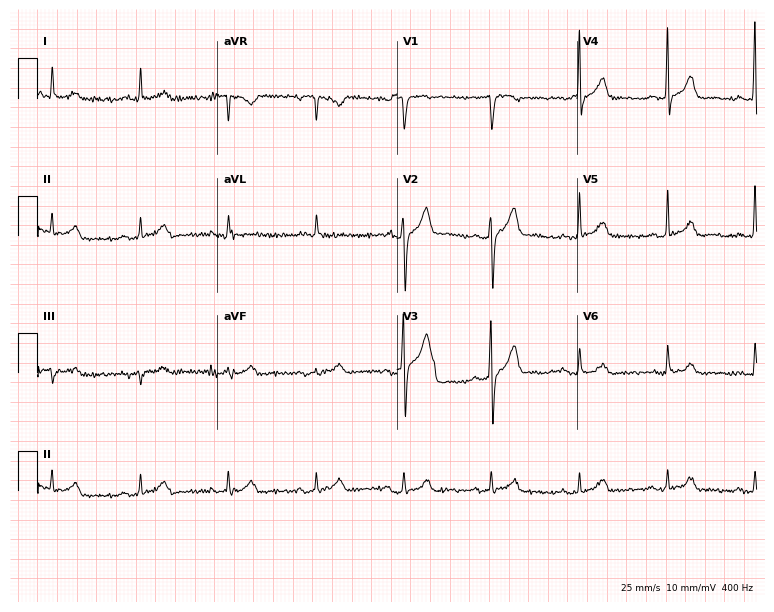
Resting 12-lead electrocardiogram. Patient: a 72-year-old male. Read as a normal ECG.